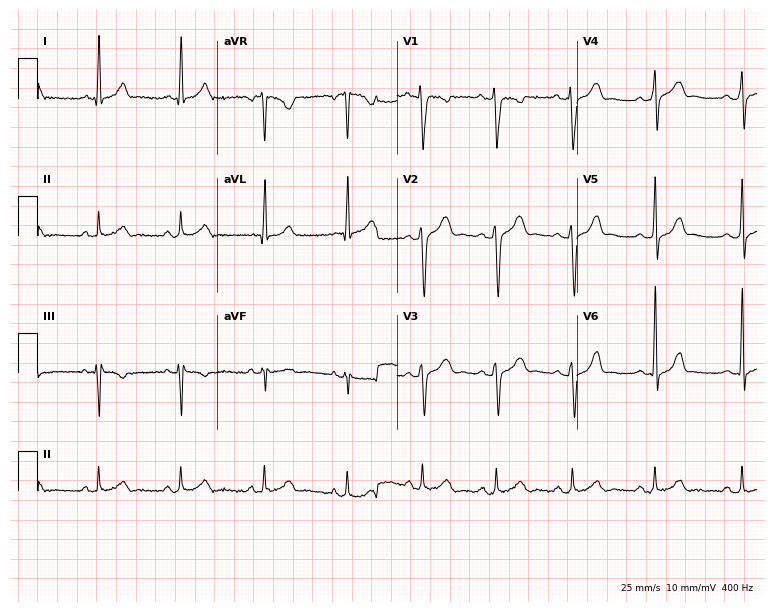
Electrocardiogram, a 24-year-old male. Of the six screened findings (first-degree AV block, right bundle branch block, left bundle branch block, sinus bradycardia, atrial fibrillation, sinus tachycardia), none is recorded.